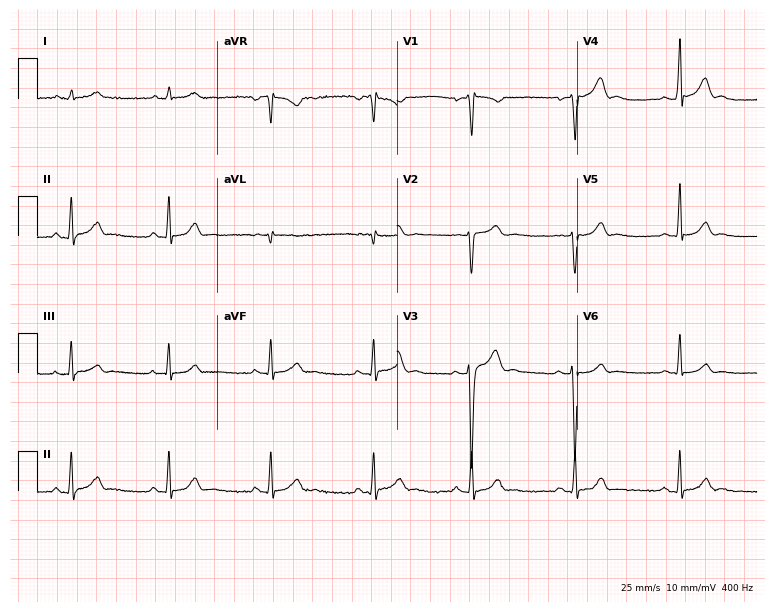
ECG — a 20-year-old man. Screened for six findings — first-degree AV block, right bundle branch block, left bundle branch block, sinus bradycardia, atrial fibrillation, sinus tachycardia — none is recorded.